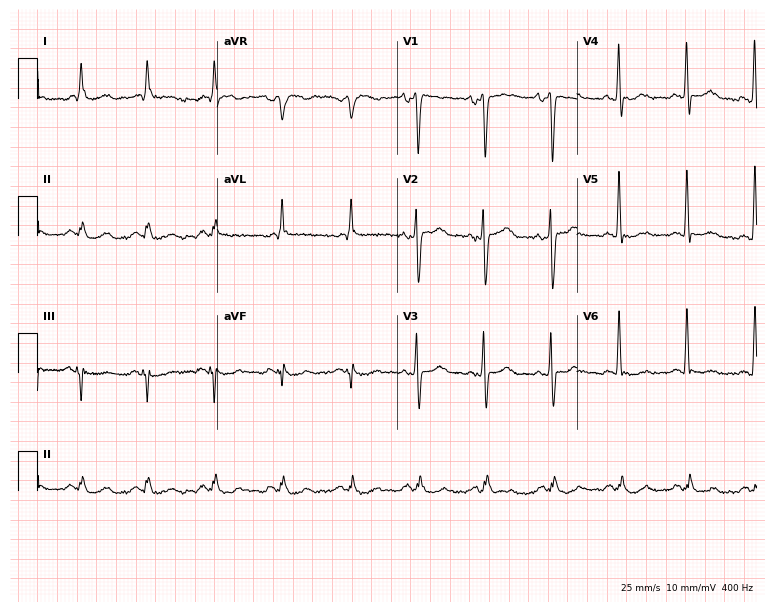
12-lead ECG (7.3-second recording at 400 Hz) from a female, 47 years old. Screened for six findings — first-degree AV block, right bundle branch block, left bundle branch block, sinus bradycardia, atrial fibrillation, sinus tachycardia — none is recorded.